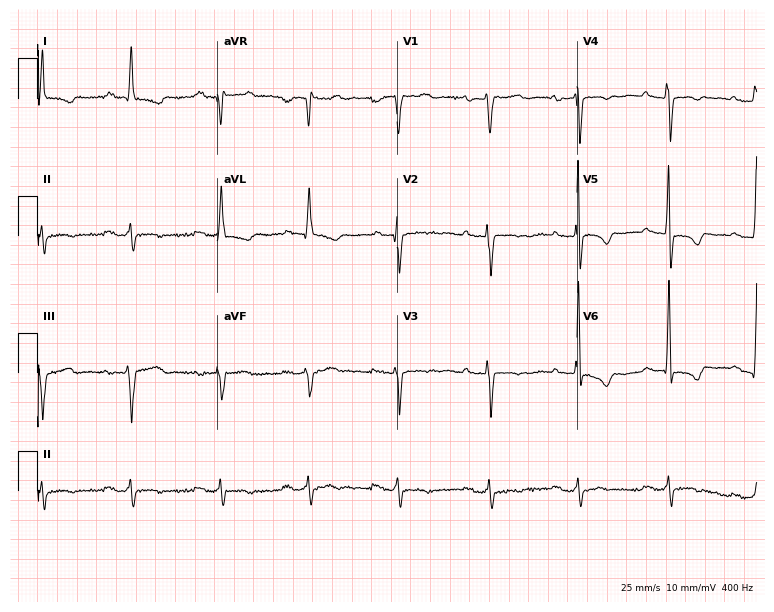
Electrocardiogram, a female, 75 years old. Interpretation includes first-degree AV block.